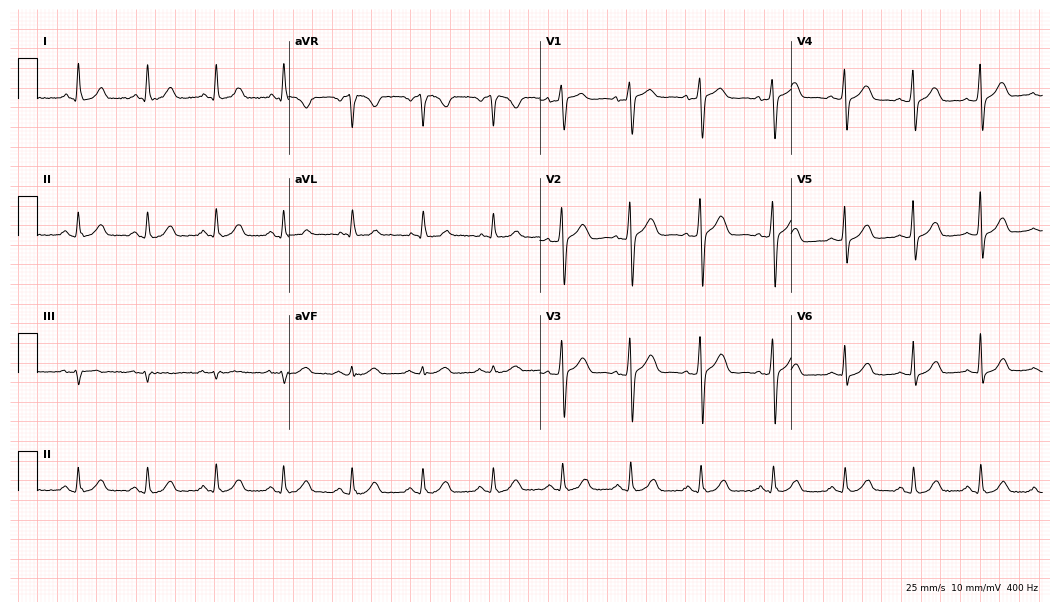
Standard 12-lead ECG recorded from a 45-year-old female. Read as a normal ECG.